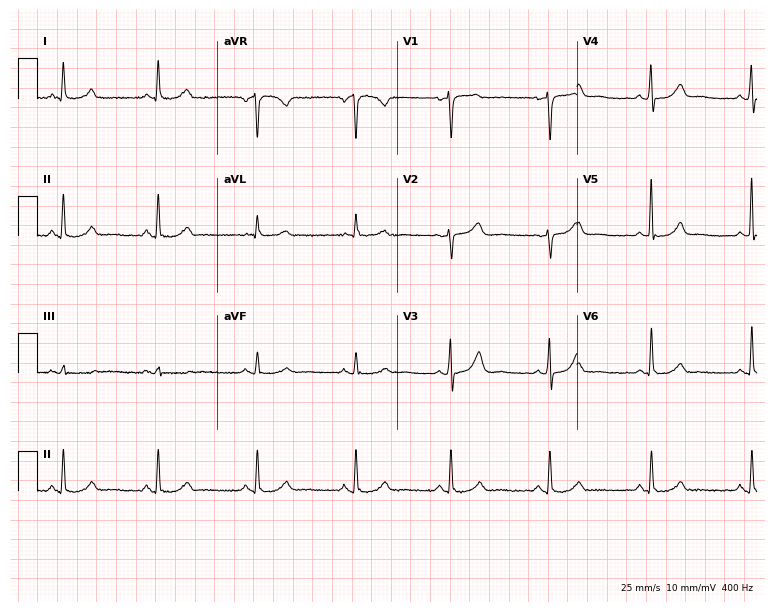
Resting 12-lead electrocardiogram. Patient: a 51-year-old female. Read as a normal ECG.